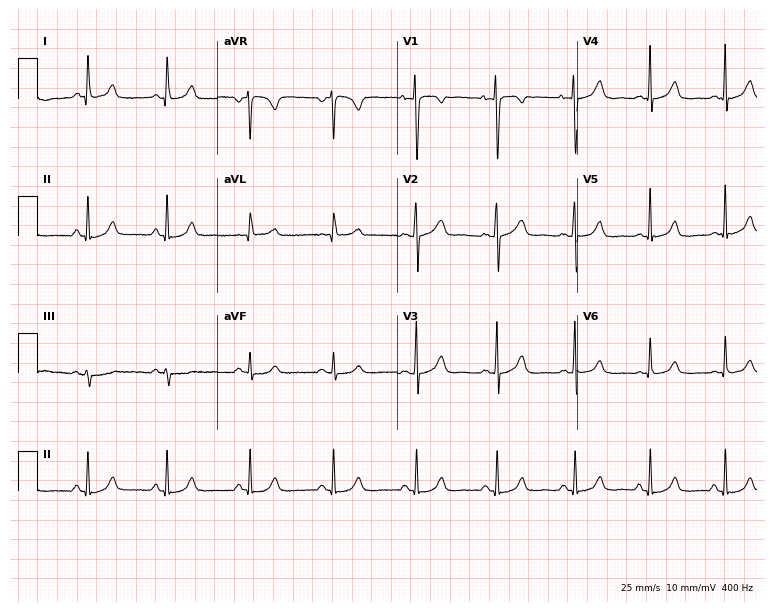
Standard 12-lead ECG recorded from a 24-year-old woman (7.3-second recording at 400 Hz). None of these six findings is recorded: first-degree AV block, right bundle branch block, left bundle branch block, sinus bradycardia, atrial fibrillation, sinus tachycardia.